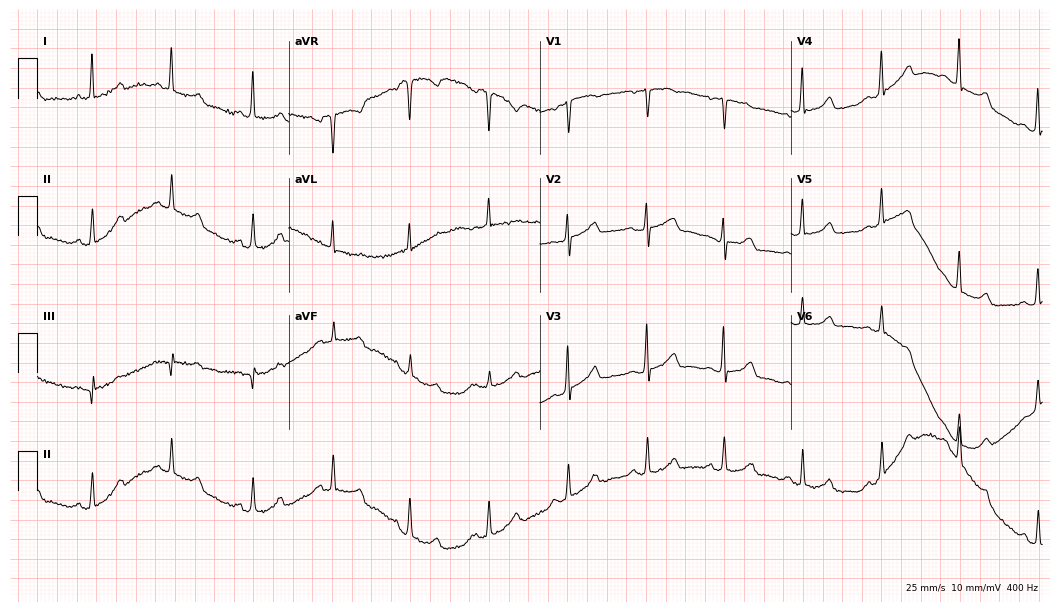
Resting 12-lead electrocardiogram (10.2-second recording at 400 Hz). Patient: a 54-year-old female. Read as a normal ECG.